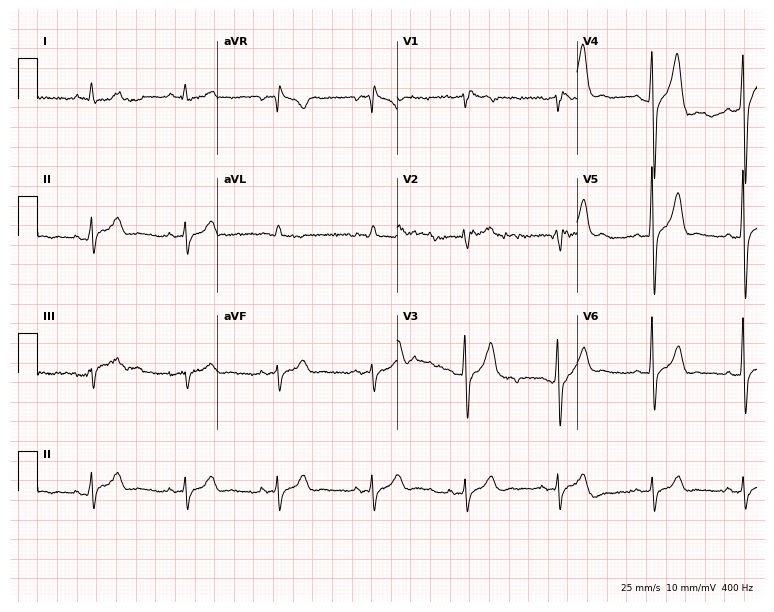
Standard 12-lead ECG recorded from a male, 41 years old. None of these six findings is recorded: first-degree AV block, right bundle branch block, left bundle branch block, sinus bradycardia, atrial fibrillation, sinus tachycardia. Only these six findings were labelled.